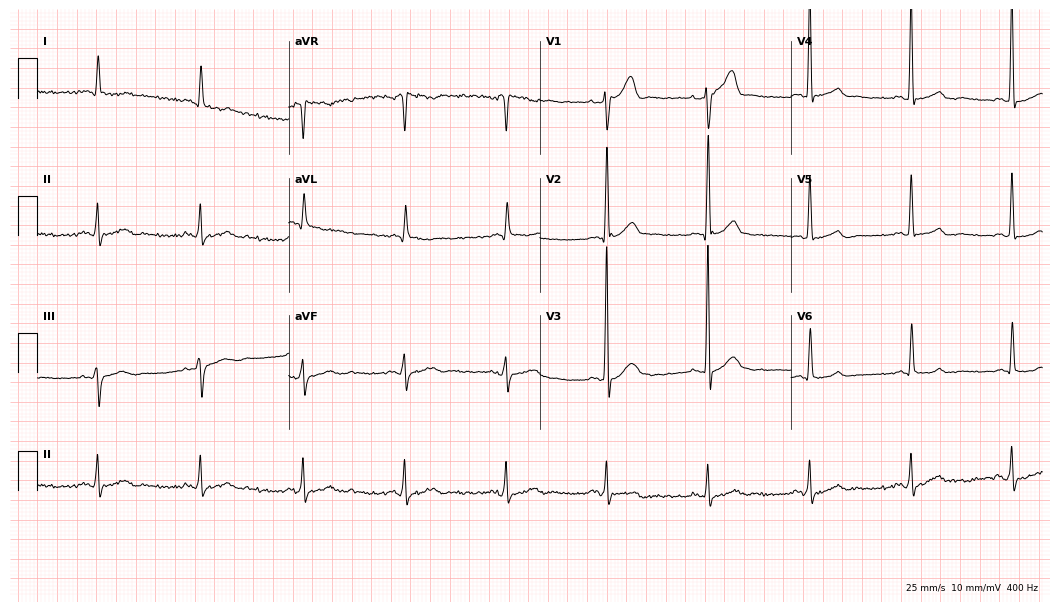
12-lead ECG from a man, 63 years old. No first-degree AV block, right bundle branch block (RBBB), left bundle branch block (LBBB), sinus bradycardia, atrial fibrillation (AF) or sinus tachycardia recorded for this tracing.